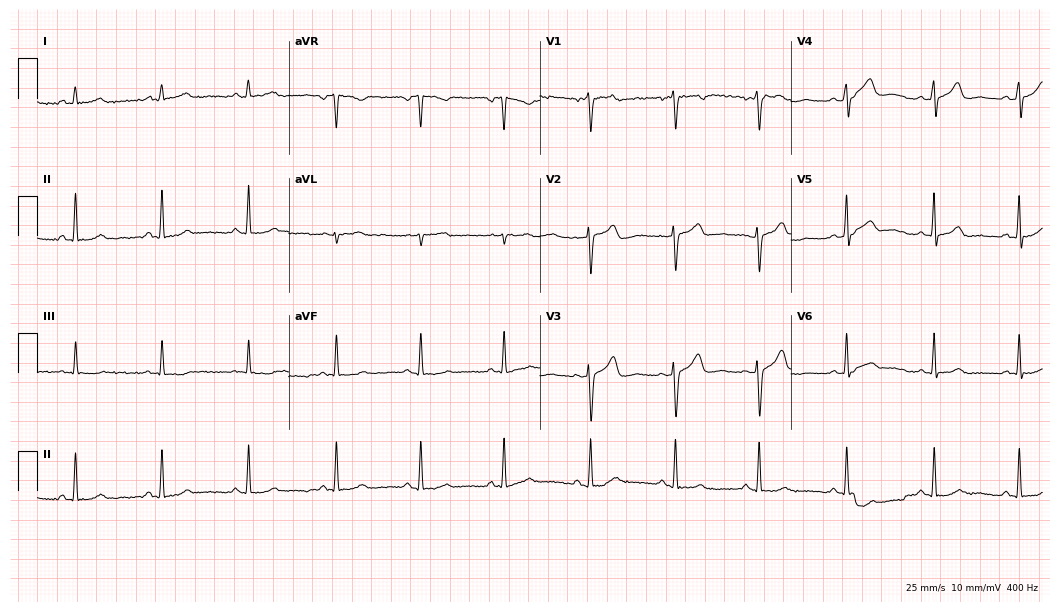
Standard 12-lead ECG recorded from a female, 37 years old. Read as a normal ECG.